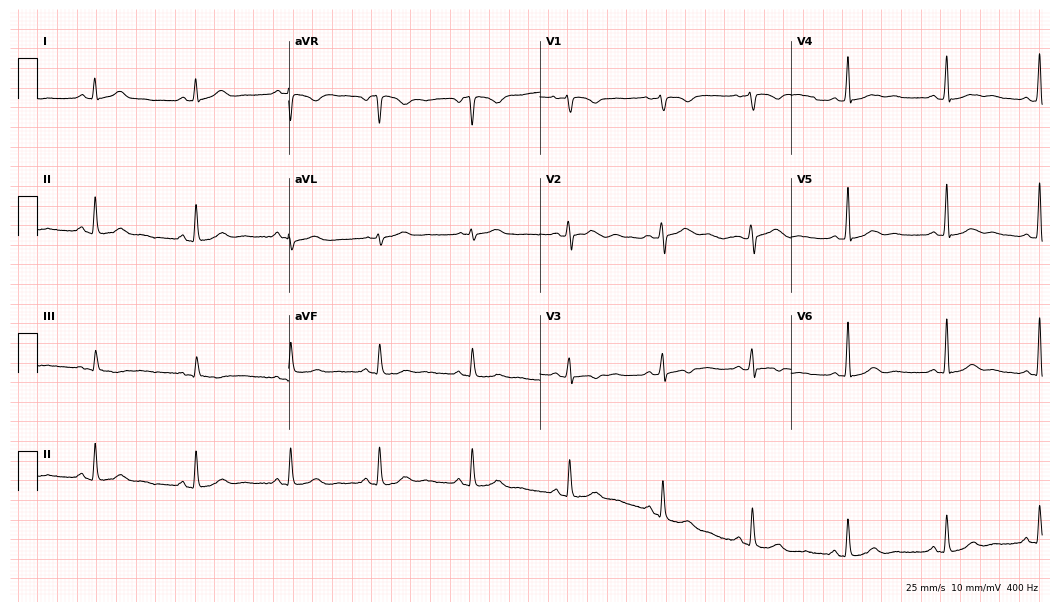
12-lead ECG (10.2-second recording at 400 Hz) from a female, 43 years old. Screened for six findings — first-degree AV block, right bundle branch block, left bundle branch block, sinus bradycardia, atrial fibrillation, sinus tachycardia — none is recorded. Only these six findings were labelled.